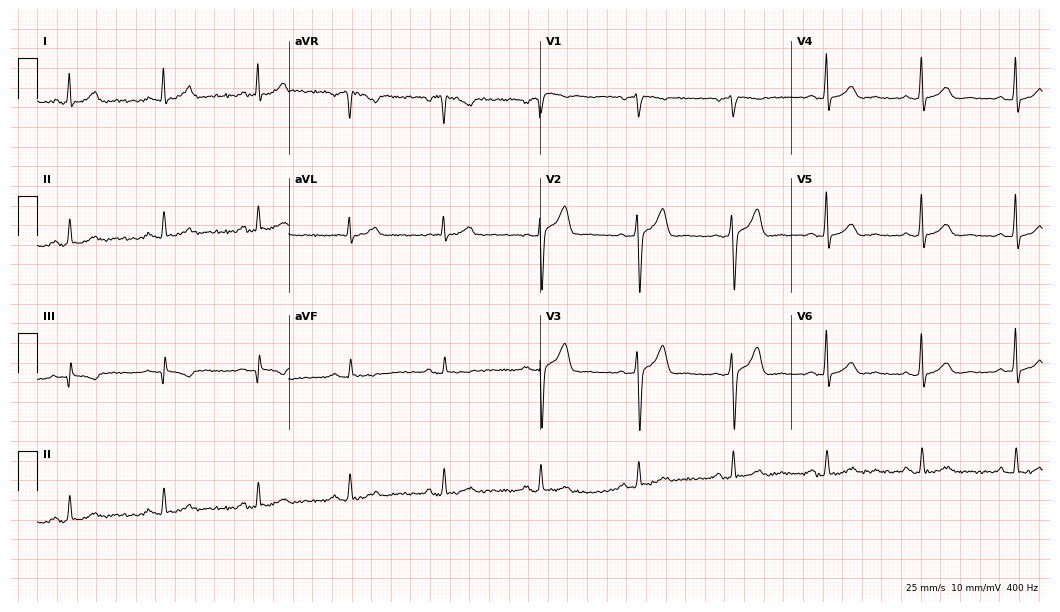
Standard 12-lead ECG recorded from a man, 55 years old (10.2-second recording at 400 Hz). Read as a normal ECG.